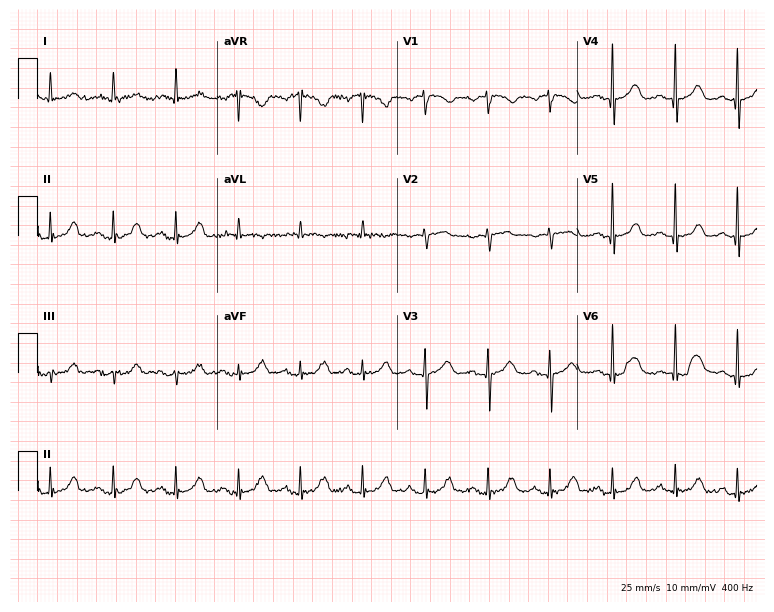
12-lead ECG from a female patient, 65 years old. Labelled as a normal ECG.